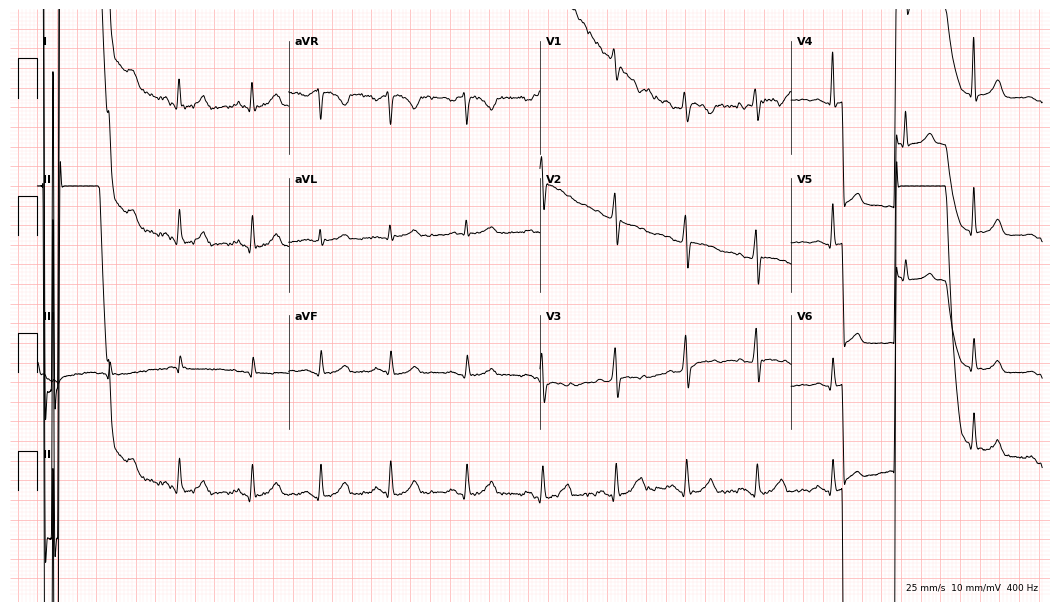
Resting 12-lead electrocardiogram (10.2-second recording at 400 Hz). Patient: a 42-year-old woman. None of these six findings is recorded: first-degree AV block, right bundle branch block, left bundle branch block, sinus bradycardia, atrial fibrillation, sinus tachycardia.